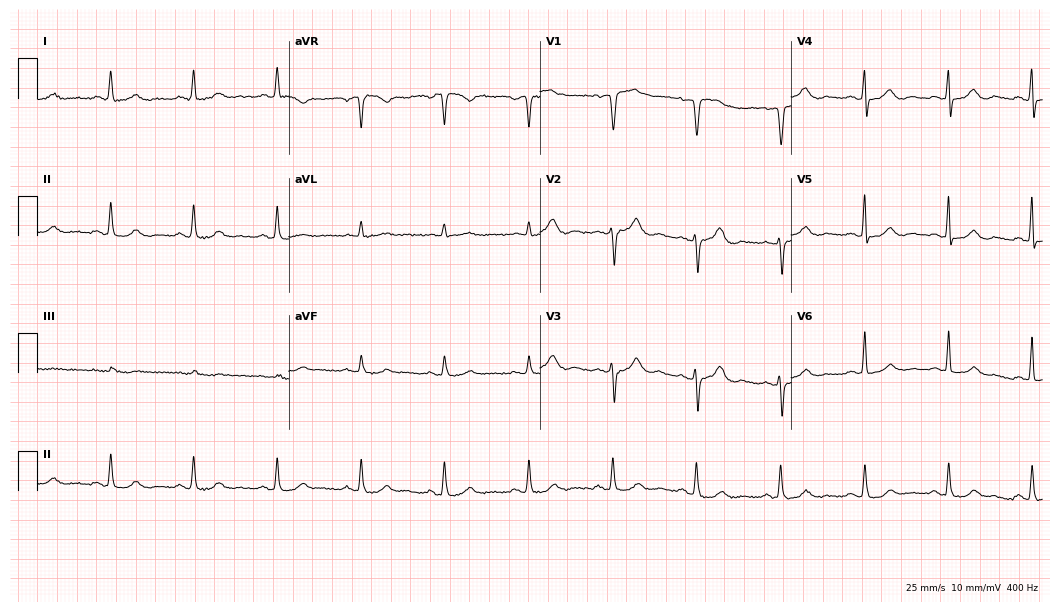
12-lead ECG from a female patient, 80 years old. No first-degree AV block, right bundle branch block (RBBB), left bundle branch block (LBBB), sinus bradycardia, atrial fibrillation (AF) or sinus tachycardia recorded for this tracing.